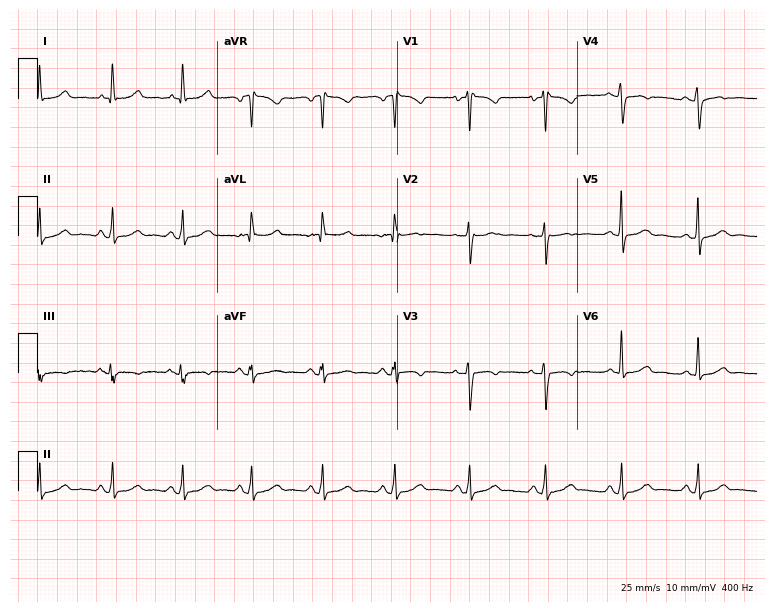
Standard 12-lead ECG recorded from a 67-year-old female patient. Read as a normal ECG.